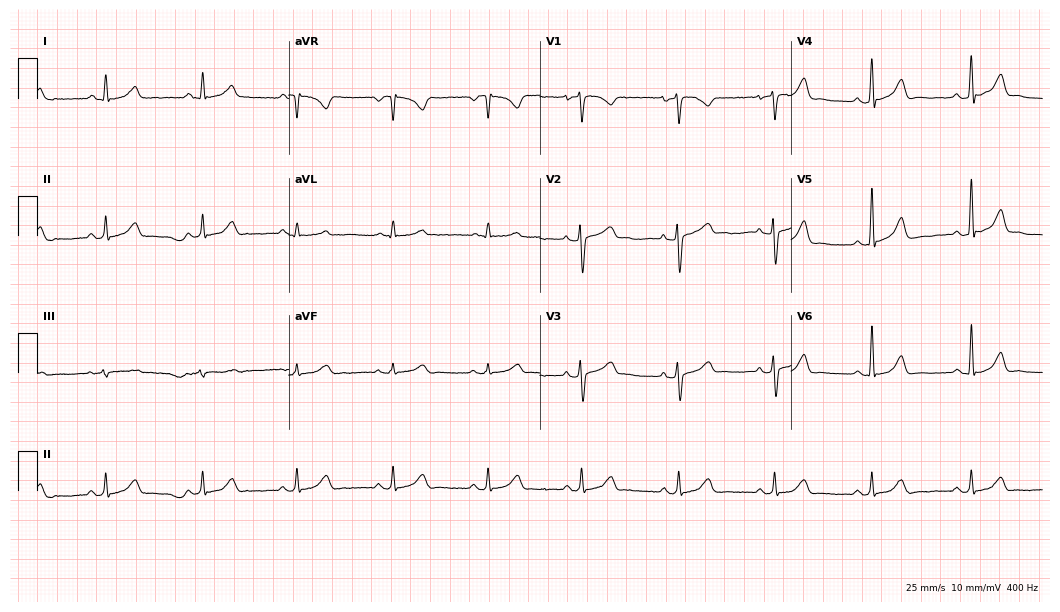
Electrocardiogram, a 38-year-old female. Of the six screened findings (first-degree AV block, right bundle branch block, left bundle branch block, sinus bradycardia, atrial fibrillation, sinus tachycardia), none is recorded. Findings outside these six are not listed.